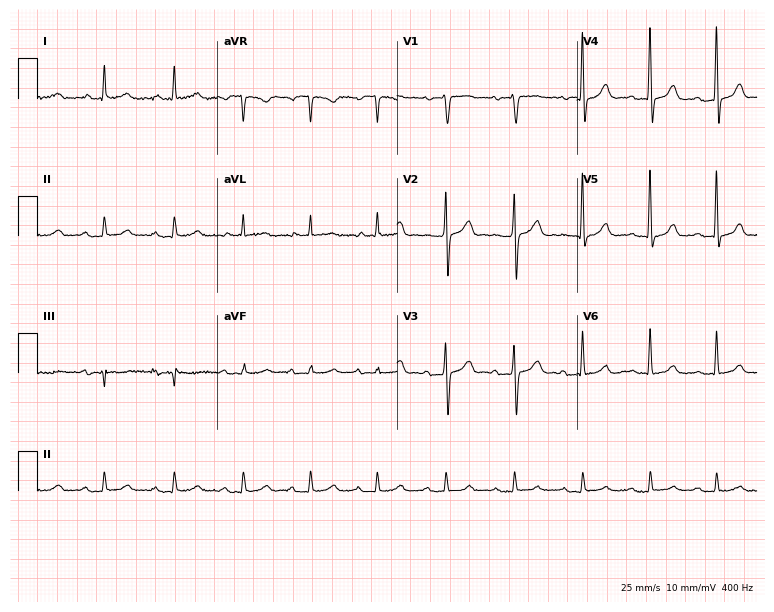
Standard 12-lead ECG recorded from a 78-year-old male patient. Read as a normal ECG.